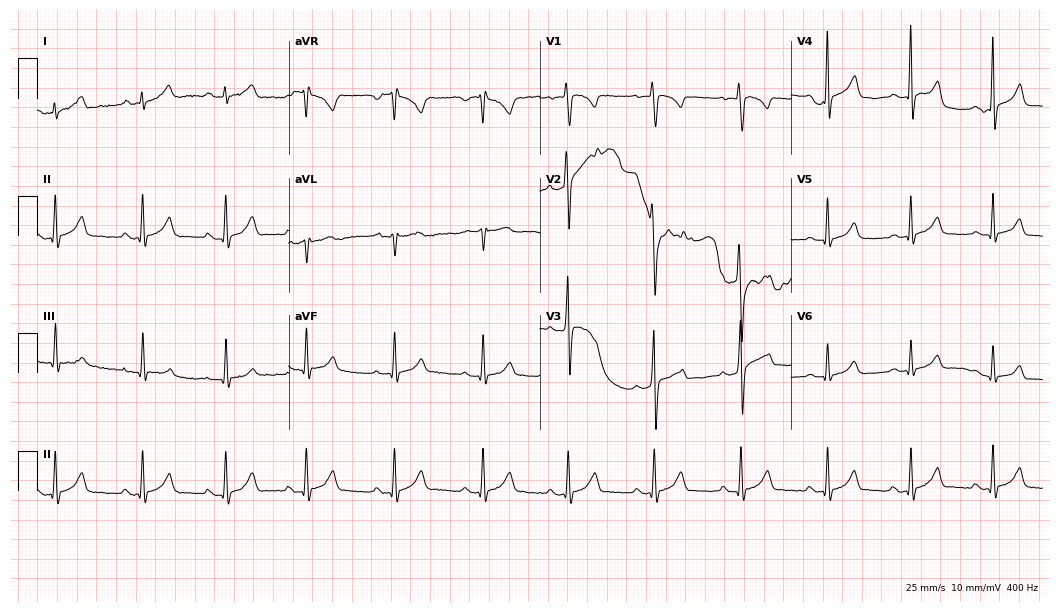
Resting 12-lead electrocardiogram (10.2-second recording at 400 Hz). Patient: an 18-year-old male. Read as a normal ECG.